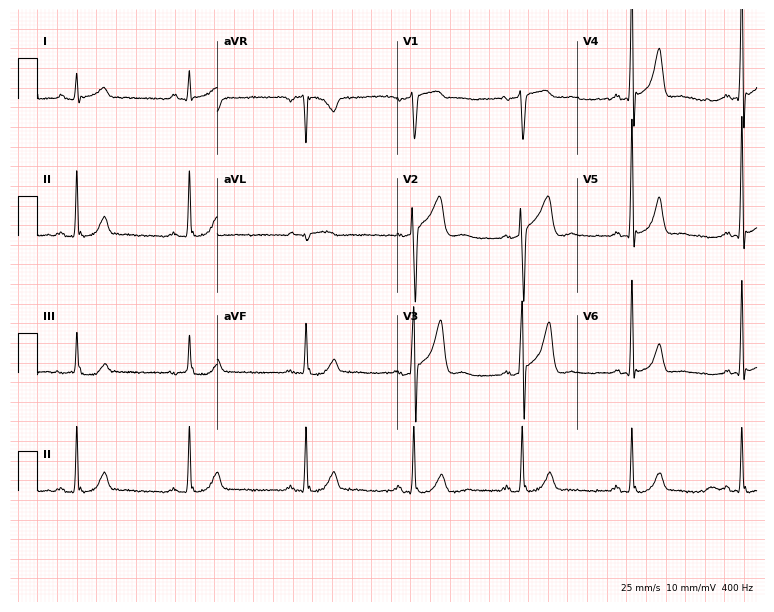
12-lead ECG from a 43-year-old male patient (7.3-second recording at 400 Hz). Recorded interpretation: within normal limits.